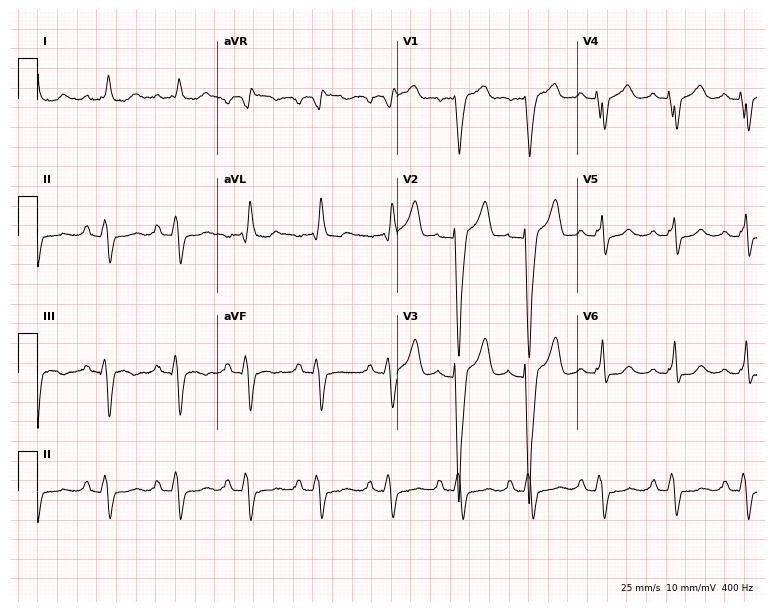
Electrocardiogram, a female patient, 48 years old. Interpretation includes left bundle branch block.